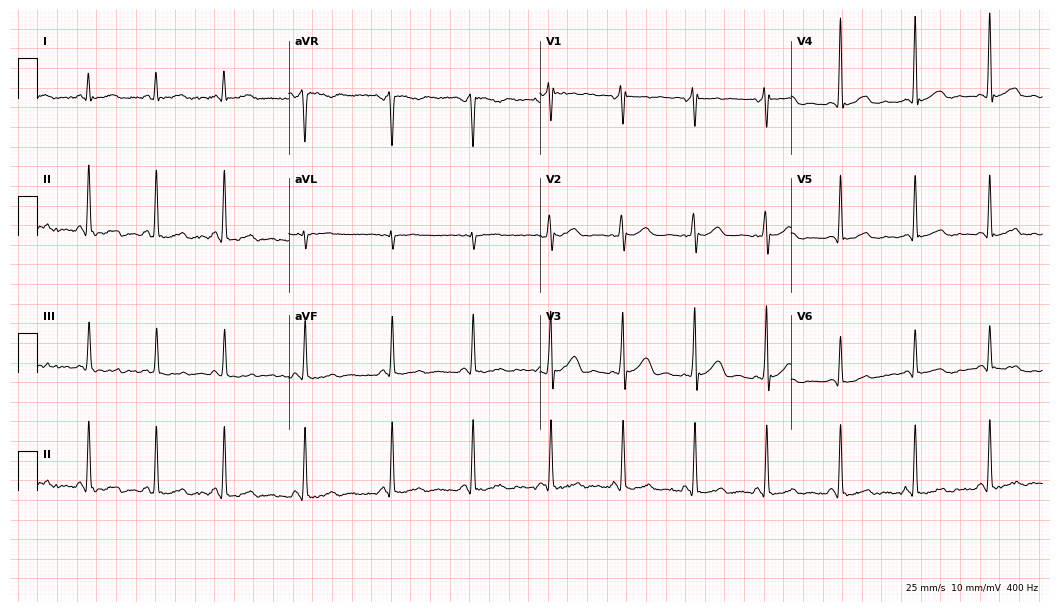
ECG — a male patient, 31 years old. Labelled as a normal ECG.